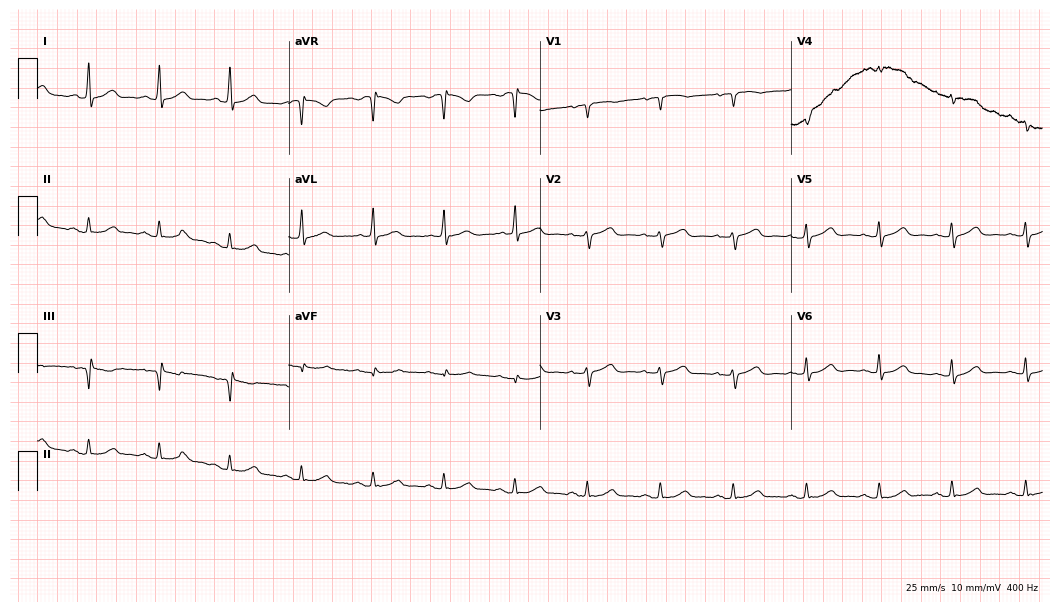
Electrocardiogram, a woman, 70 years old. Overall reading on record: normal ECG.